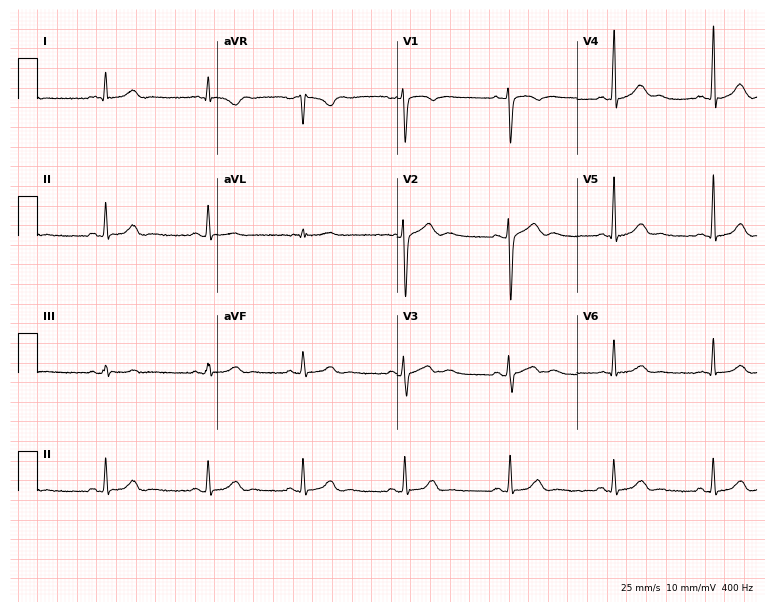
ECG — a male, 32 years old. Labelled as a normal ECG.